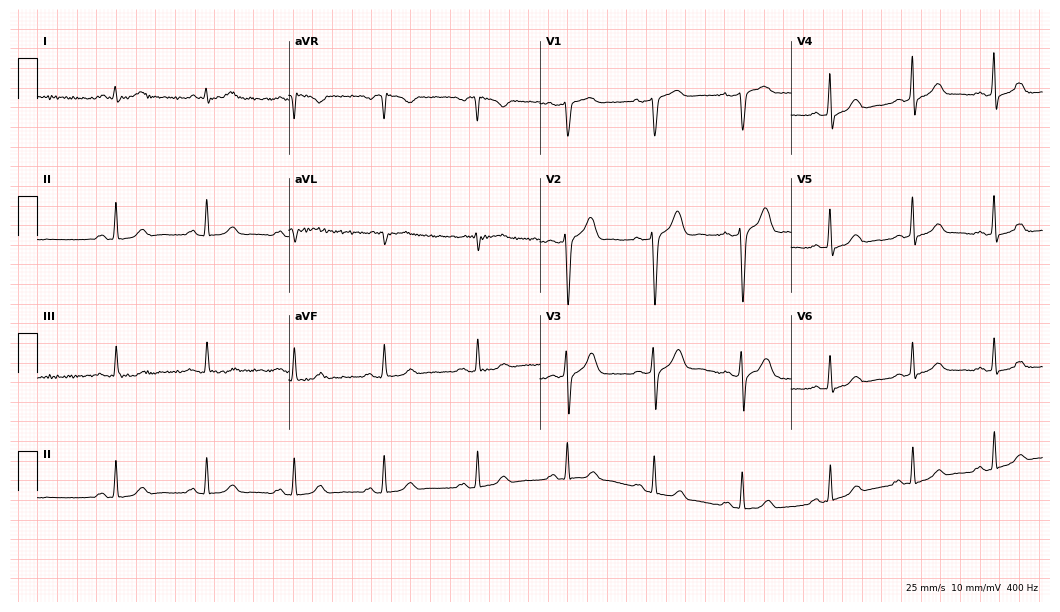
Electrocardiogram, a male, 55 years old. Overall reading on record: normal ECG.